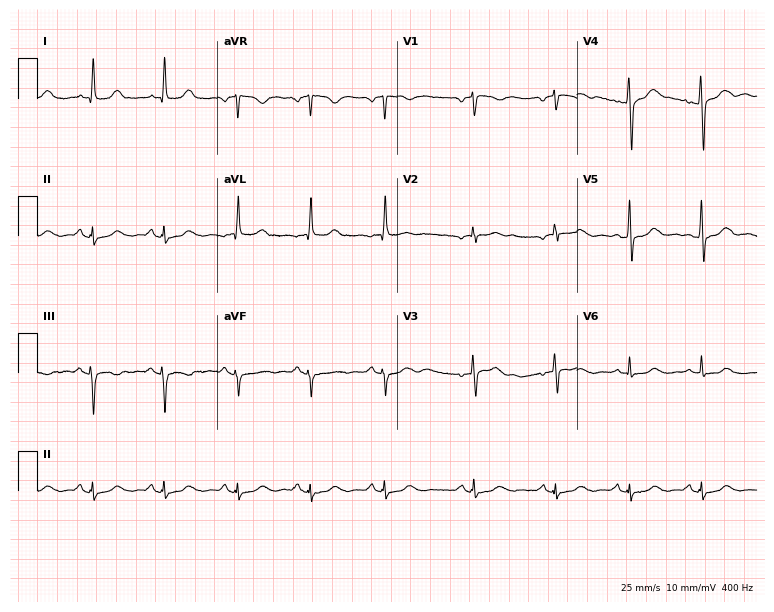
Resting 12-lead electrocardiogram (7.3-second recording at 400 Hz). Patient: a 37-year-old female. None of these six findings is recorded: first-degree AV block, right bundle branch block, left bundle branch block, sinus bradycardia, atrial fibrillation, sinus tachycardia.